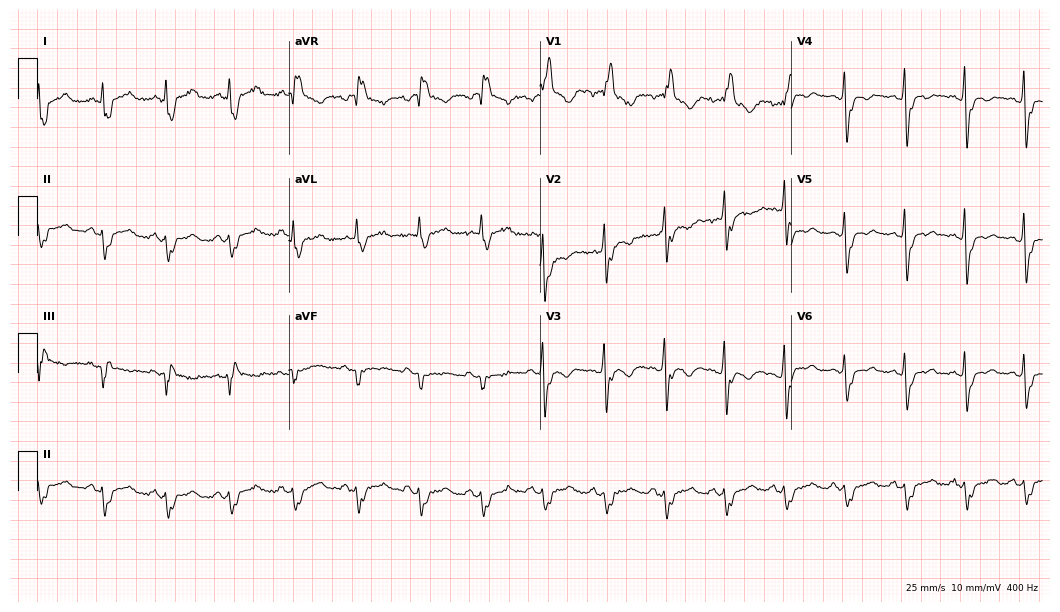
ECG (10.2-second recording at 400 Hz) — a 37-year-old male patient. Findings include right bundle branch block (RBBB).